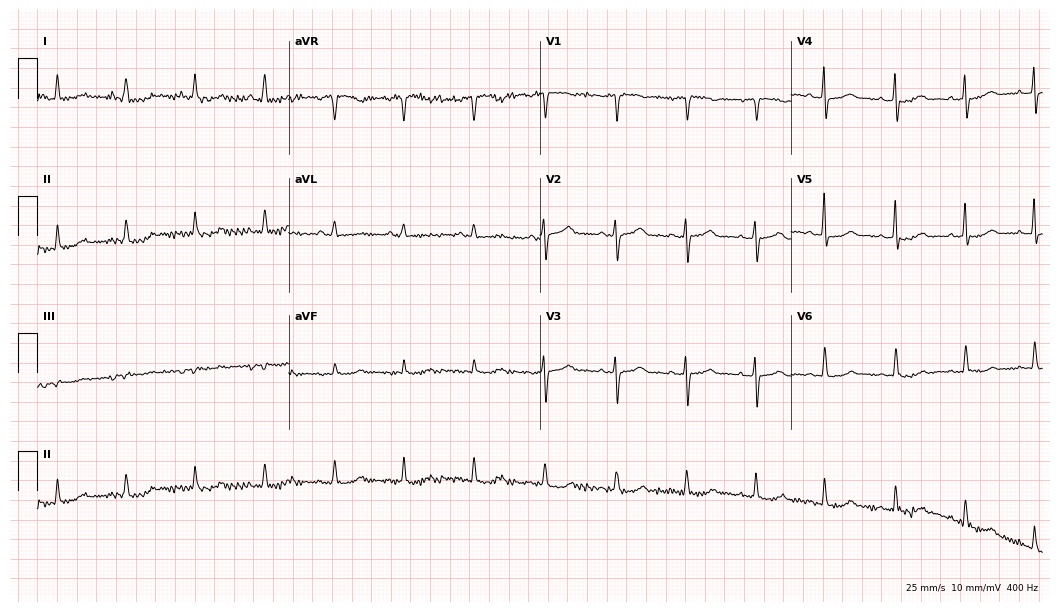
12-lead ECG from a woman, 73 years old (10.2-second recording at 400 Hz). Recorded interpretation: within normal limits.